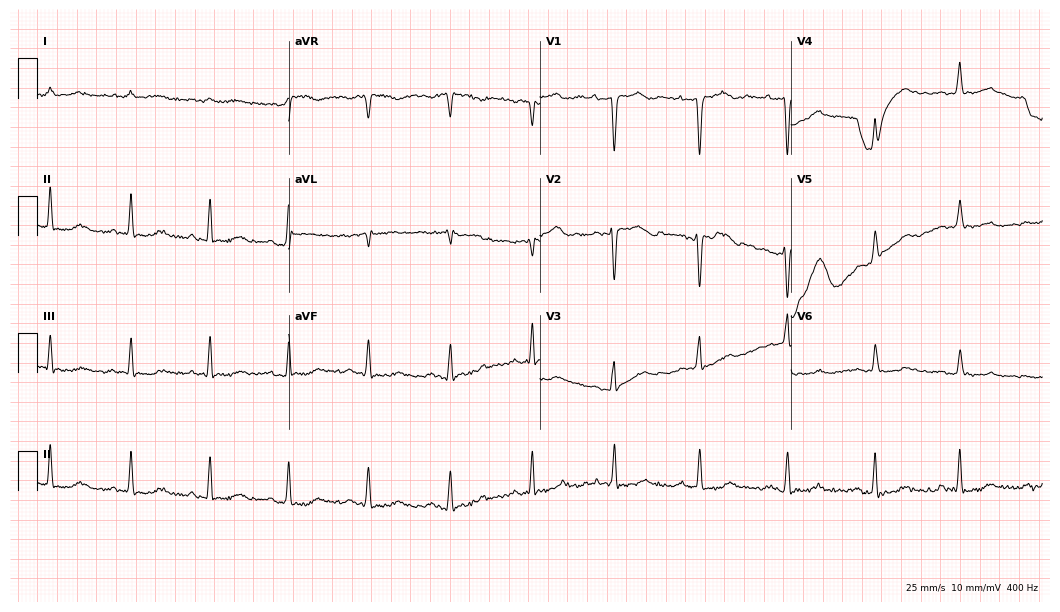
ECG — a 46-year-old female patient. Screened for six findings — first-degree AV block, right bundle branch block (RBBB), left bundle branch block (LBBB), sinus bradycardia, atrial fibrillation (AF), sinus tachycardia — none is recorded.